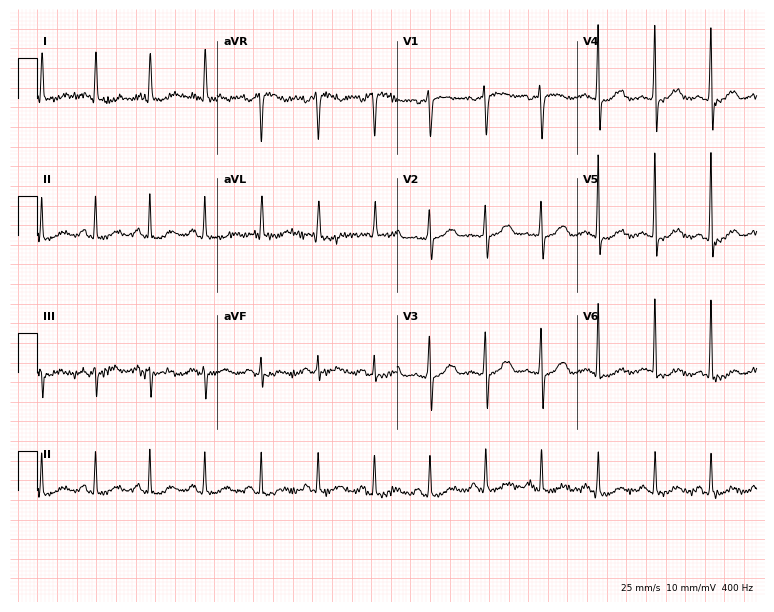
Electrocardiogram, a woman, 62 years old. Interpretation includes sinus tachycardia (a sinus rate of 100 beats per minute or more).